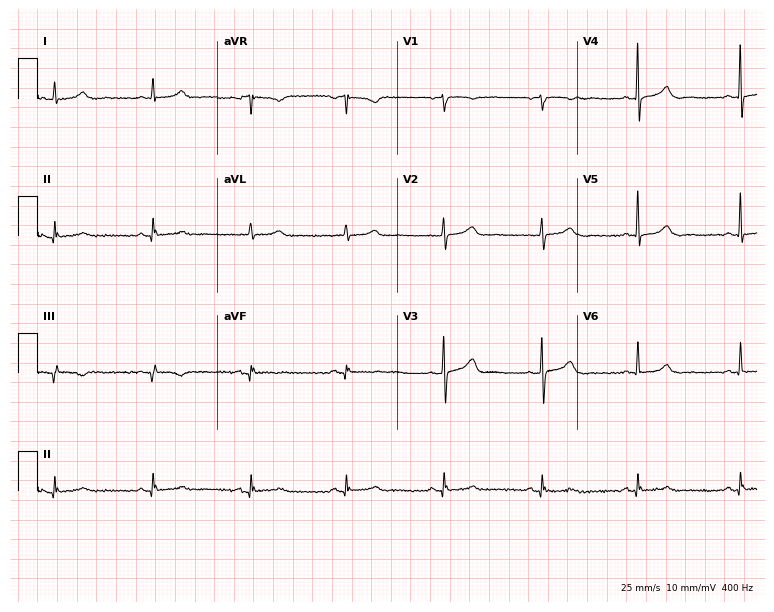
12-lead ECG from a male, 72 years old (7.3-second recording at 400 Hz). Recorded interpretation: within normal limits.